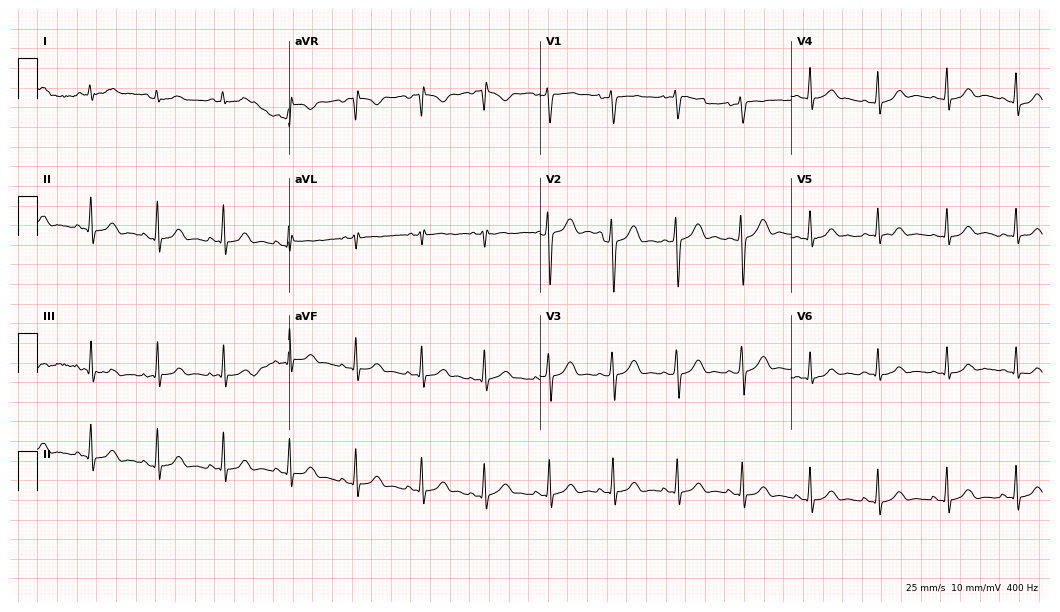
Electrocardiogram, a female, 21 years old. Overall reading on record: normal ECG.